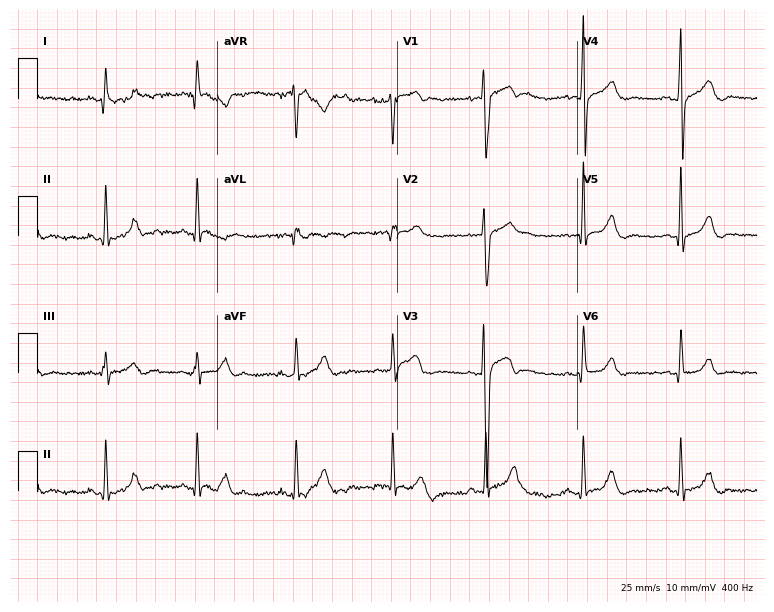
Electrocardiogram (7.3-second recording at 400 Hz), a male, 25 years old. Overall reading on record: normal ECG.